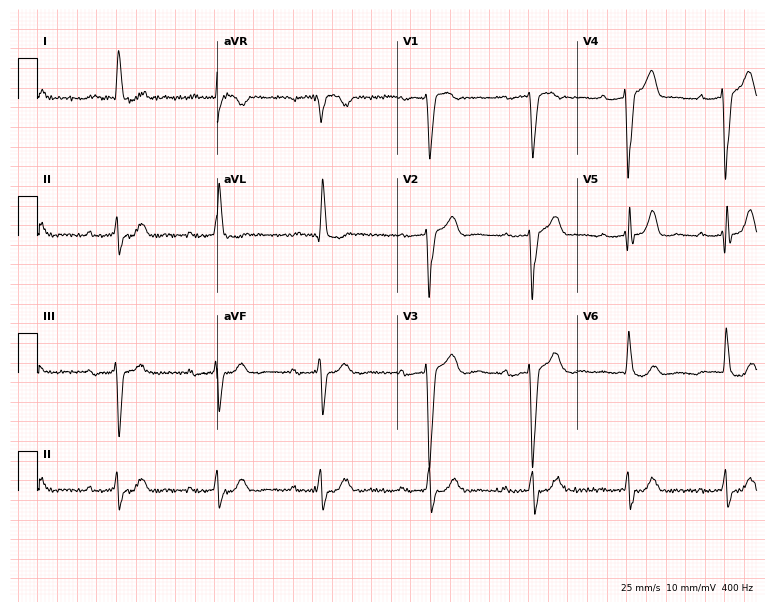
Resting 12-lead electrocardiogram (7.3-second recording at 400 Hz). Patient: an 83-year-old male. The tracing shows first-degree AV block.